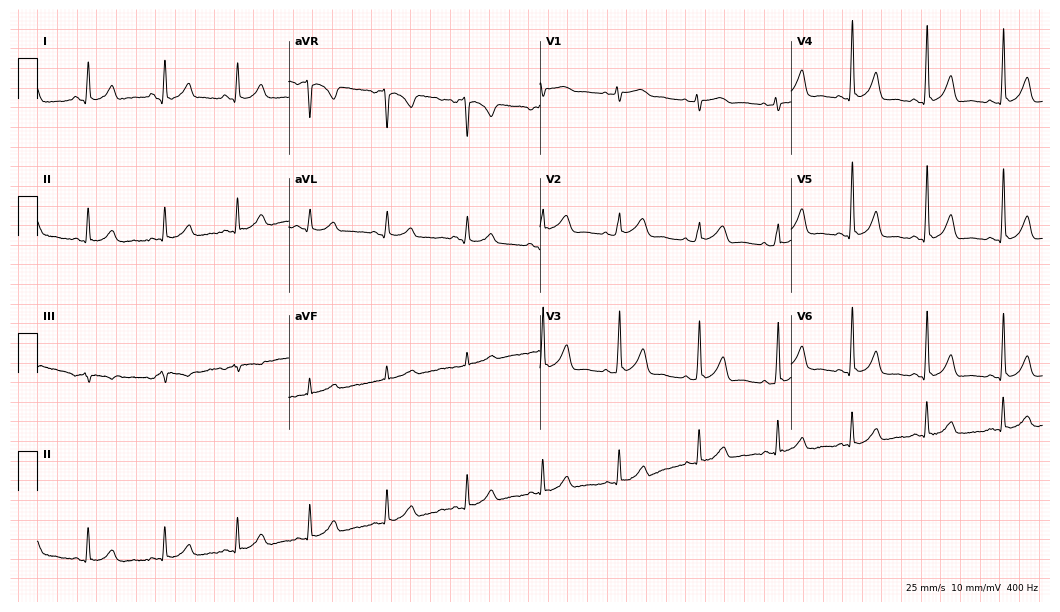
ECG (10.2-second recording at 400 Hz) — a woman, 30 years old. Screened for six findings — first-degree AV block, right bundle branch block, left bundle branch block, sinus bradycardia, atrial fibrillation, sinus tachycardia — none is recorded. Only these six findings were labelled.